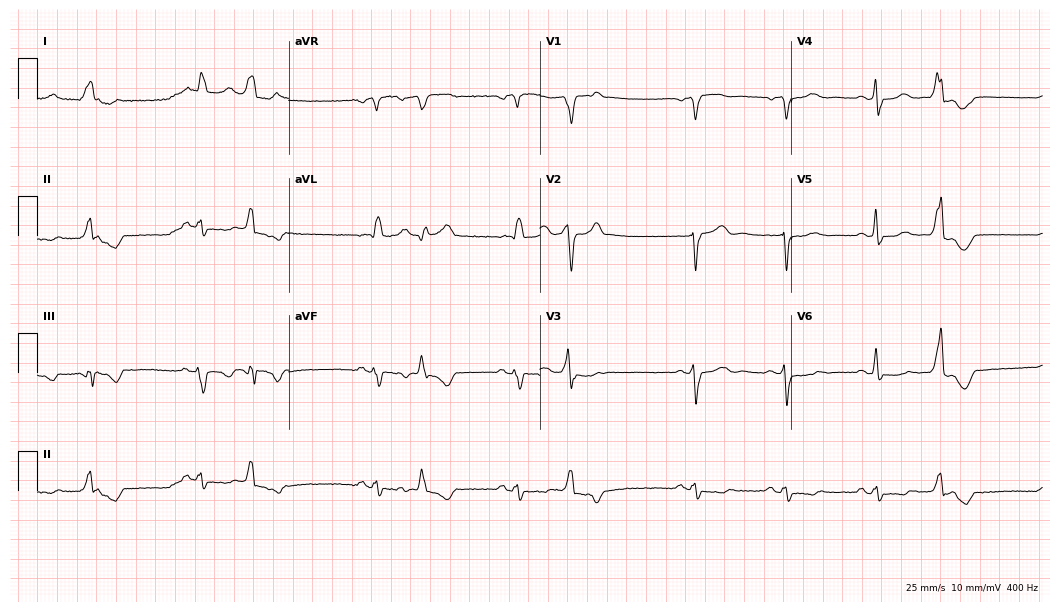
12-lead ECG from a 79-year-old male patient. Screened for six findings — first-degree AV block, right bundle branch block (RBBB), left bundle branch block (LBBB), sinus bradycardia, atrial fibrillation (AF), sinus tachycardia — none is recorded.